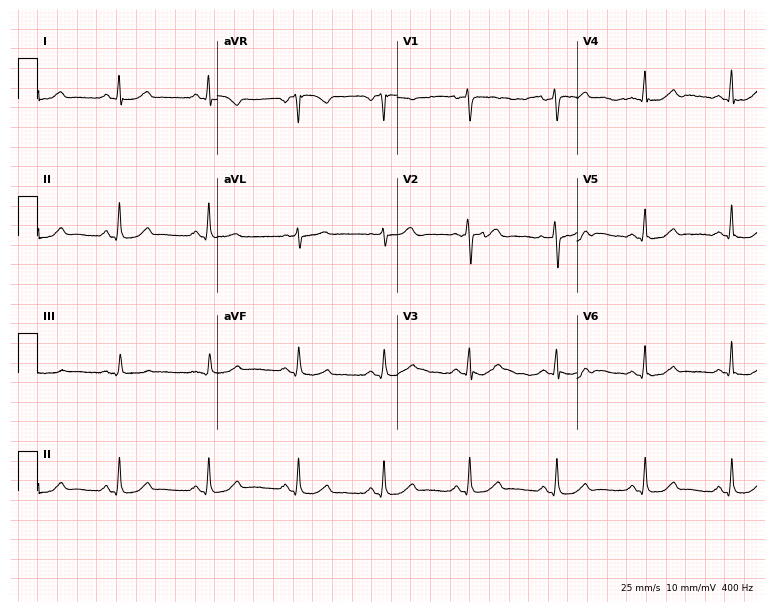
12-lead ECG (7.3-second recording at 400 Hz) from a female, 59 years old. Labelled as a normal ECG.